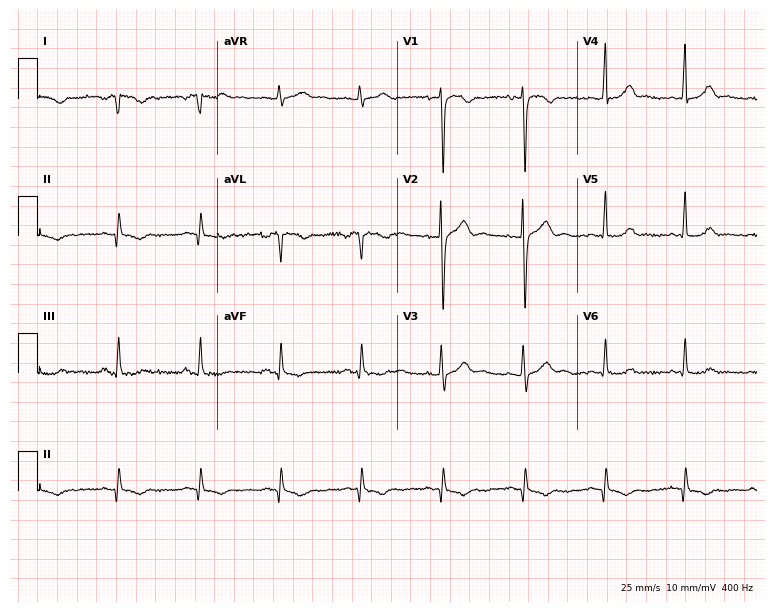
12-lead ECG from a female, 42 years old. No first-degree AV block, right bundle branch block, left bundle branch block, sinus bradycardia, atrial fibrillation or sinus tachycardia recorded for this tracing. Other findings, if any, are not listed.